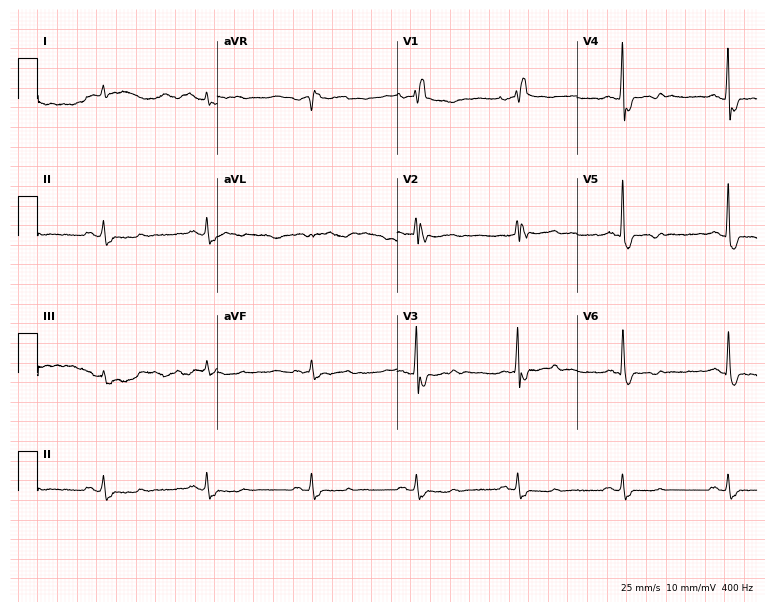
12-lead ECG from a 68-year-old woman. Shows right bundle branch block (RBBB).